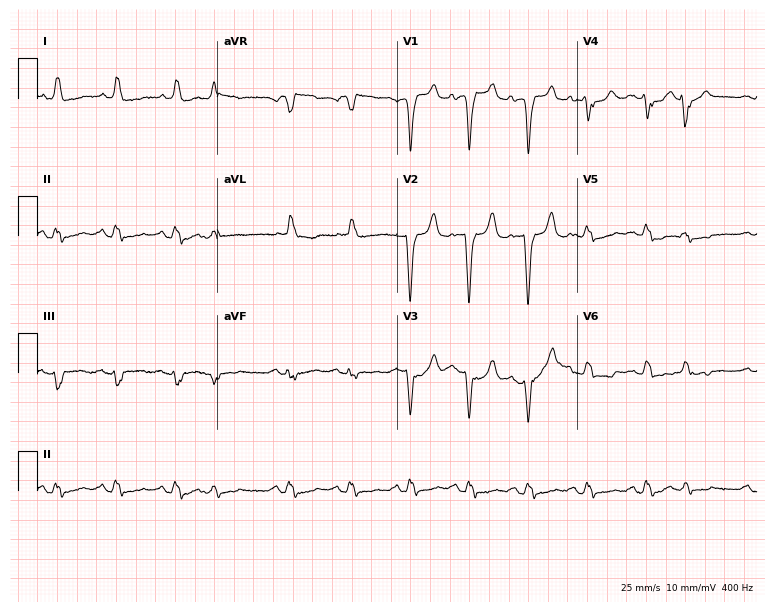
ECG — a woman, 81 years old. Findings include left bundle branch block (LBBB).